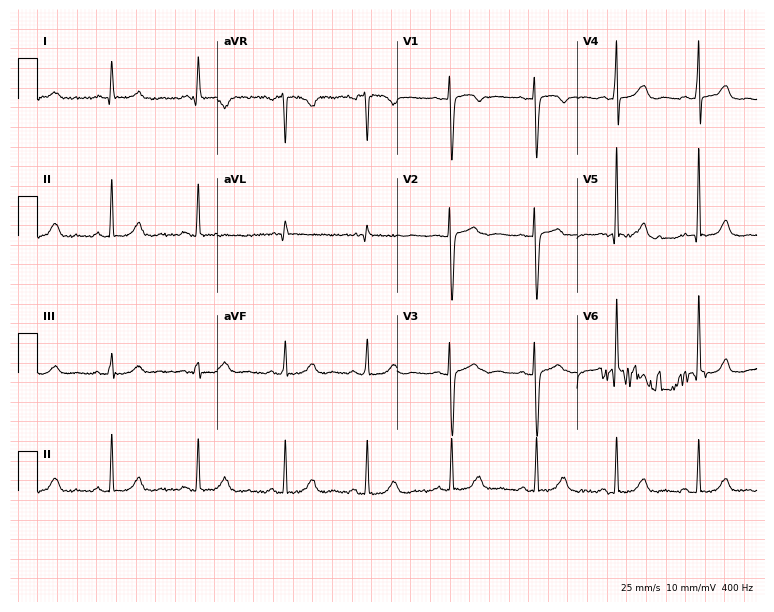
ECG (7.3-second recording at 400 Hz) — a woman, 52 years old. Screened for six findings — first-degree AV block, right bundle branch block (RBBB), left bundle branch block (LBBB), sinus bradycardia, atrial fibrillation (AF), sinus tachycardia — none is recorded. Other findings, if any, are not listed.